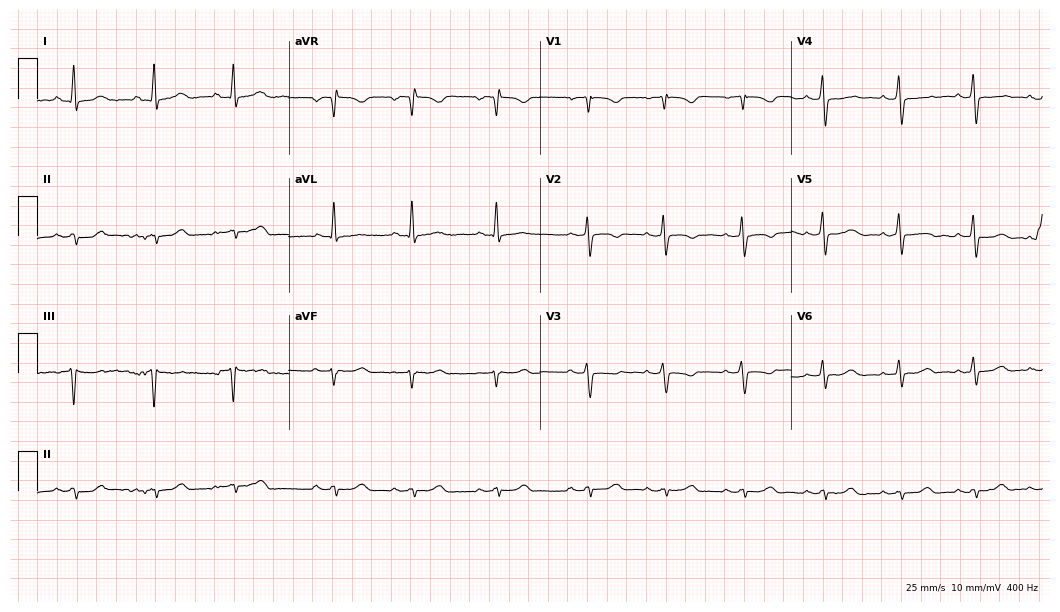
ECG (10.2-second recording at 400 Hz) — a 44-year-old female. Screened for six findings — first-degree AV block, right bundle branch block, left bundle branch block, sinus bradycardia, atrial fibrillation, sinus tachycardia — none is recorded. Only these six findings were labelled.